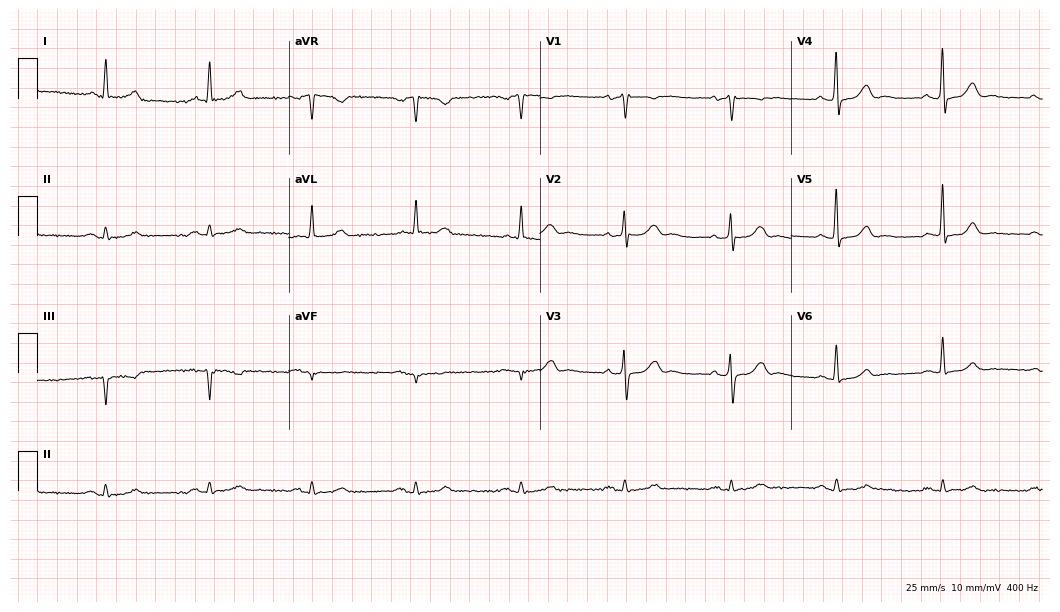
Electrocardiogram, a 73-year-old man. Overall reading on record: normal ECG.